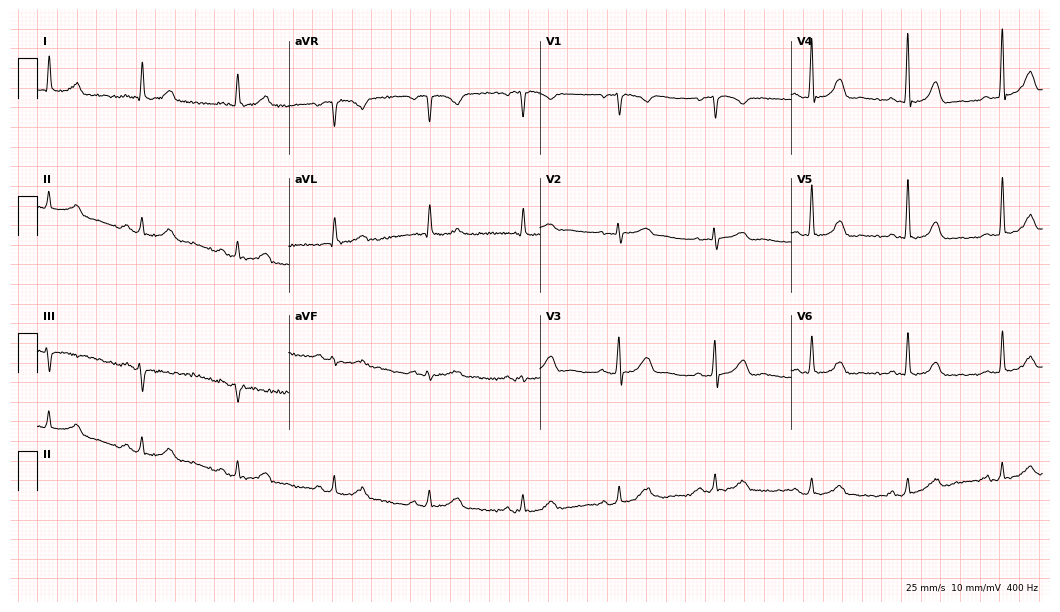
Resting 12-lead electrocardiogram. Patient: a man, 64 years old. Read as a normal ECG.